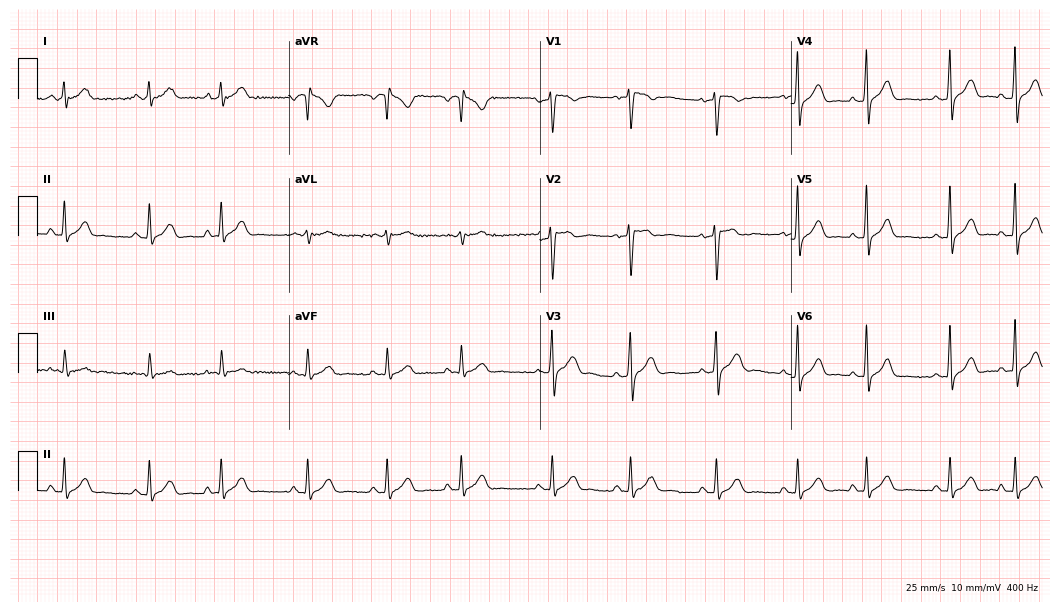
12-lead ECG from a 24-year-old man. Recorded interpretation: within normal limits.